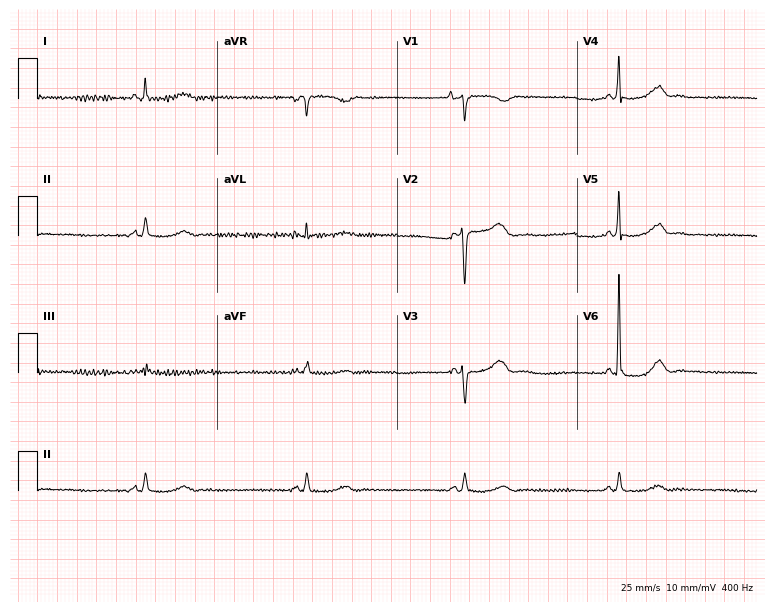
12-lead ECG from a 79-year-old man. Shows sinus bradycardia (a sinus rate of 50 beats per minute or less).